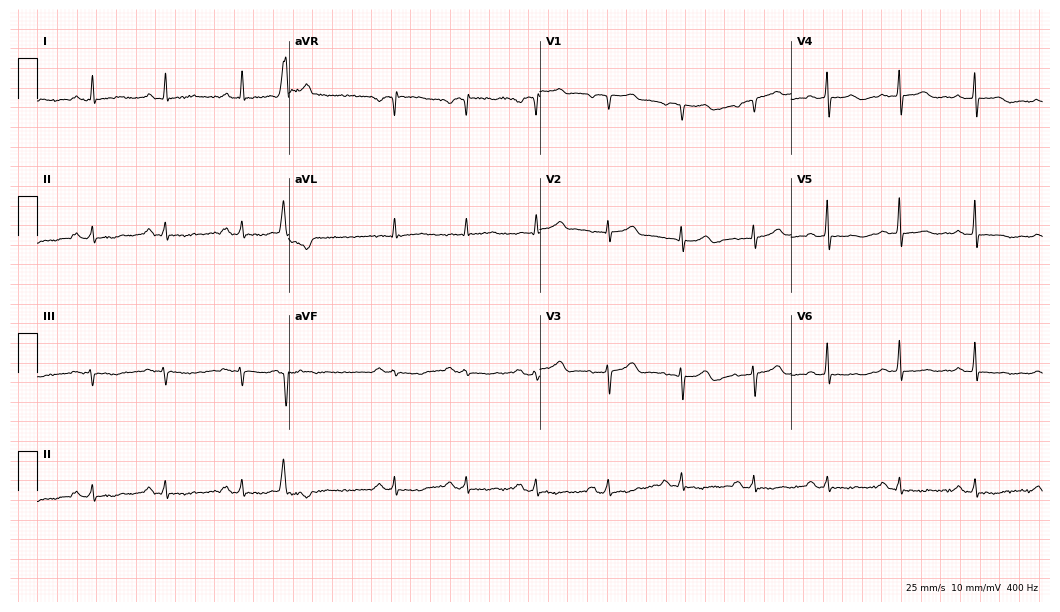
Electrocardiogram (10.2-second recording at 400 Hz), a 59-year-old female. Of the six screened findings (first-degree AV block, right bundle branch block, left bundle branch block, sinus bradycardia, atrial fibrillation, sinus tachycardia), none is recorded. Other findings, if any, are not listed.